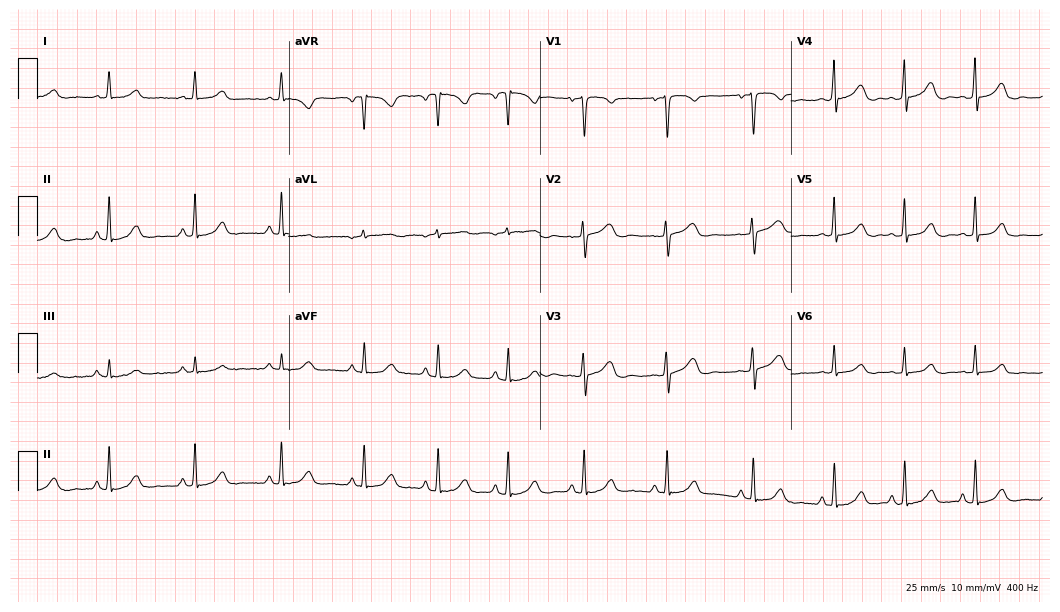
Electrocardiogram, a female patient, 21 years old. Of the six screened findings (first-degree AV block, right bundle branch block, left bundle branch block, sinus bradycardia, atrial fibrillation, sinus tachycardia), none is recorded. Other findings, if any, are not listed.